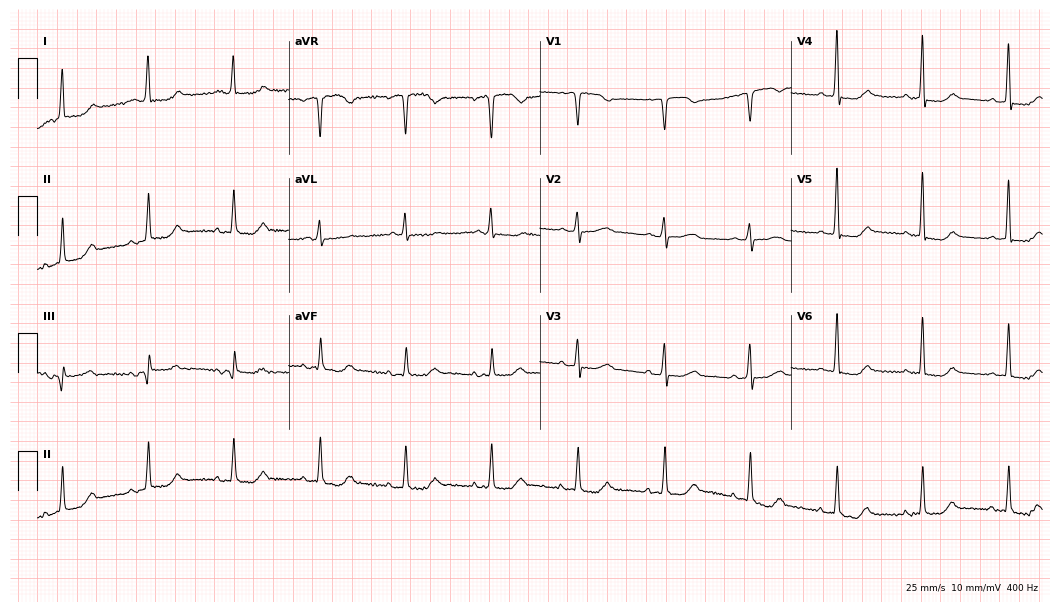
Electrocardiogram (10.2-second recording at 400 Hz), a female patient, 78 years old. Overall reading on record: normal ECG.